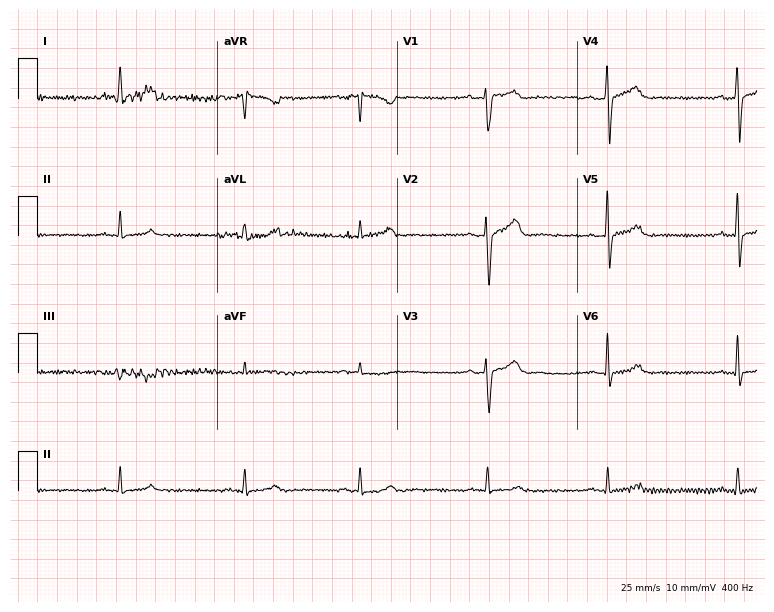
ECG (7.3-second recording at 400 Hz) — a 47-year-old man. Screened for six findings — first-degree AV block, right bundle branch block (RBBB), left bundle branch block (LBBB), sinus bradycardia, atrial fibrillation (AF), sinus tachycardia — none is recorded.